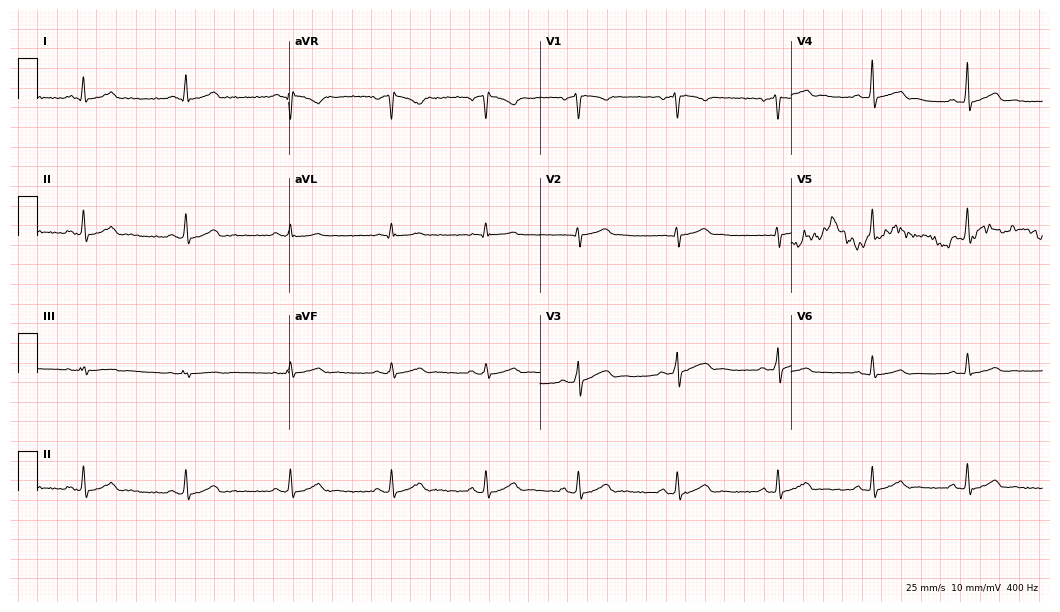
Resting 12-lead electrocardiogram (10.2-second recording at 400 Hz). Patient: a male, 35 years old. None of these six findings is recorded: first-degree AV block, right bundle branch block (RBBB), left bundle branch block (LBBB), sinus bradycardia, atrial fibrillation (AF), sinus tachycardia.